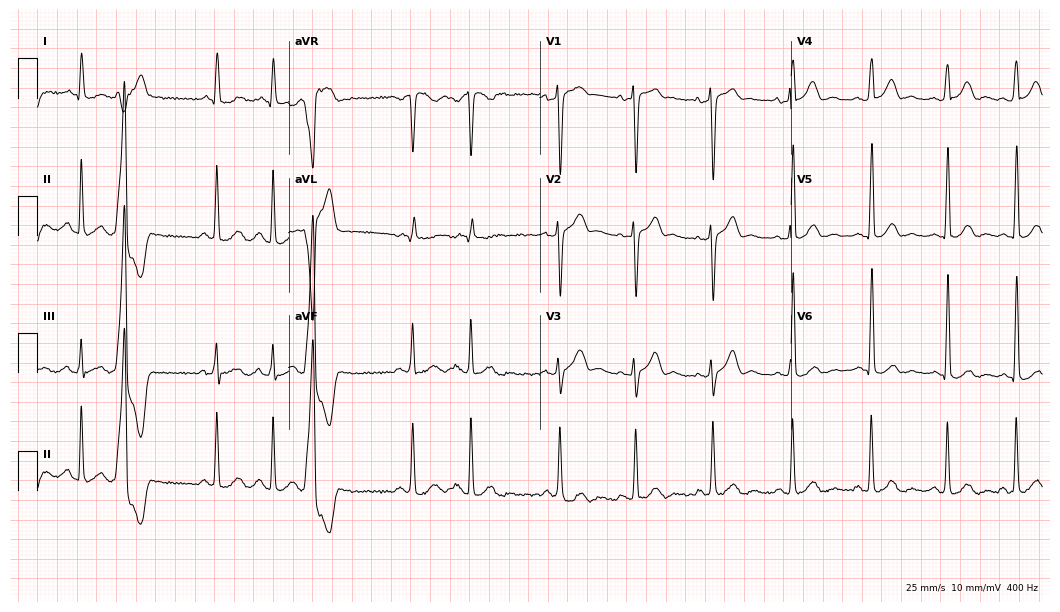
12-lead ECG from a man, 30 years old. Recorded interpretation: within normal limits.